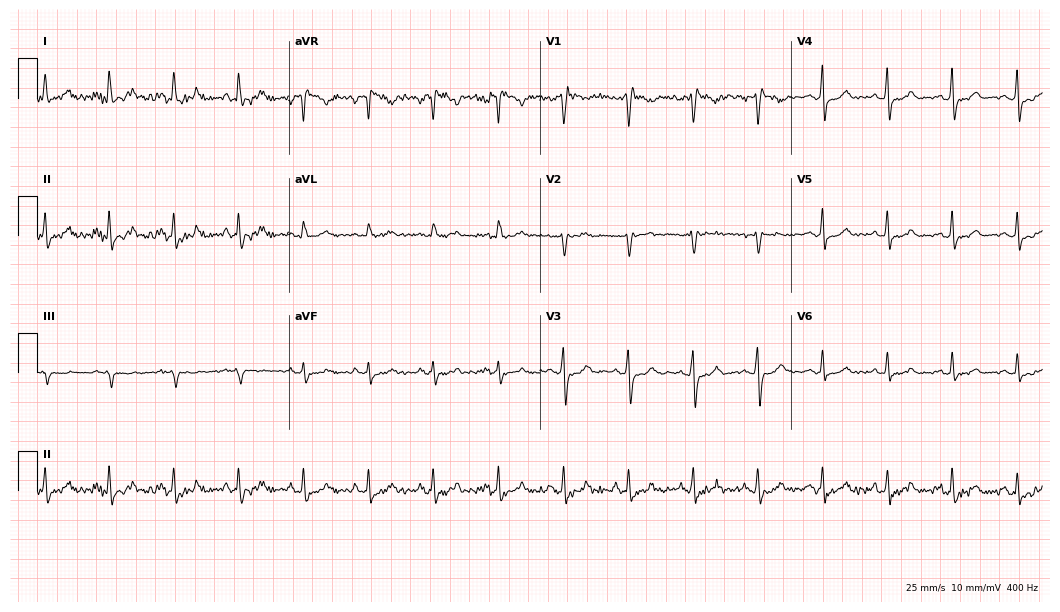
Electrocardiogram (10.2-second recording at 400 Hz), a 41-year-old female patient. Of the six screened findings (first-degree AV block, right bundle branch block, left bundle branch block, sinus bradycardia, atrial fibrillation, sinus tachycardia), none is recorded. Findings outside these six are not listed.